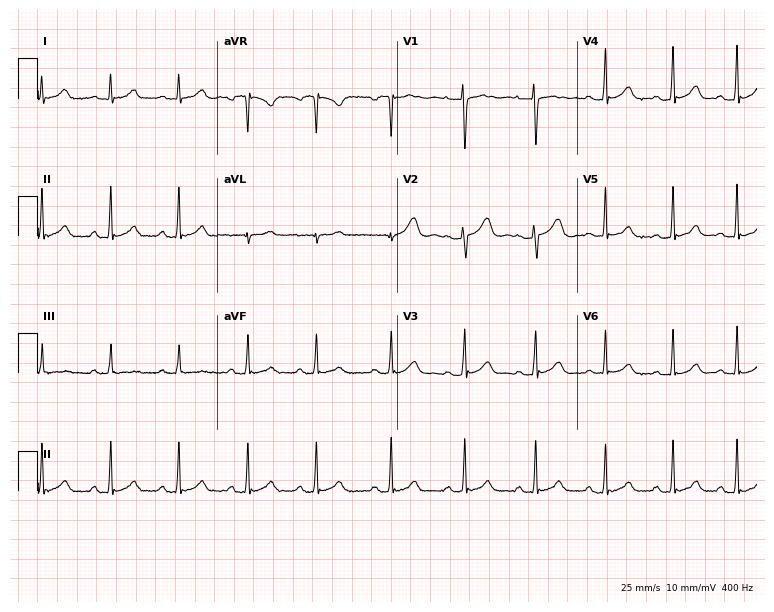
Resting 12-lead electrocardiogram (7.3-second recording at 400 Hz). Patient: a 17-year-old female. None of these six findings is recorded: first-degree AV block, right bundle branch block, left bundle branch block, sinus bradycardia, atrial fibrillation, sinus tachycardia. Findings outside these six are not listed.